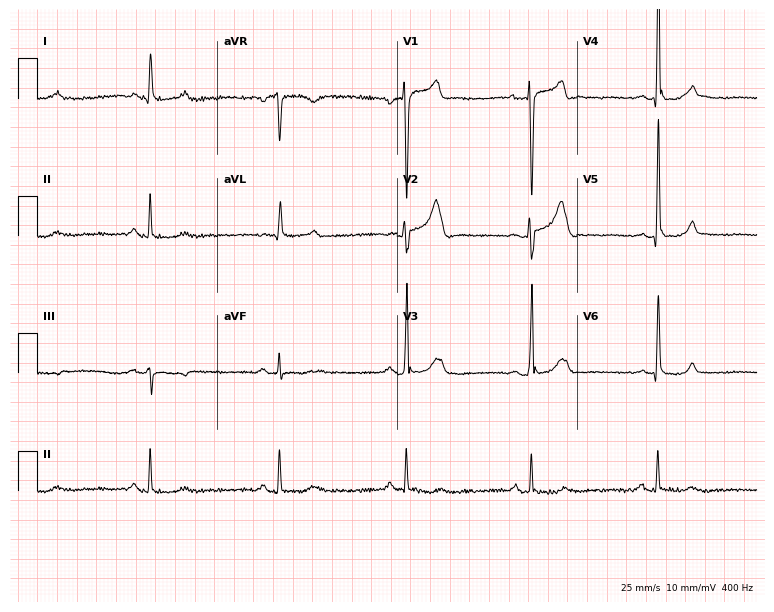
Standard 12-lead ECG recorded from a 66-year-old man. None of these six findings is recorded: first-degree AV block, right bundle branch block, left bundle branch block, sinus bradycardia, atrial fibrillation, sinus tachycardia.